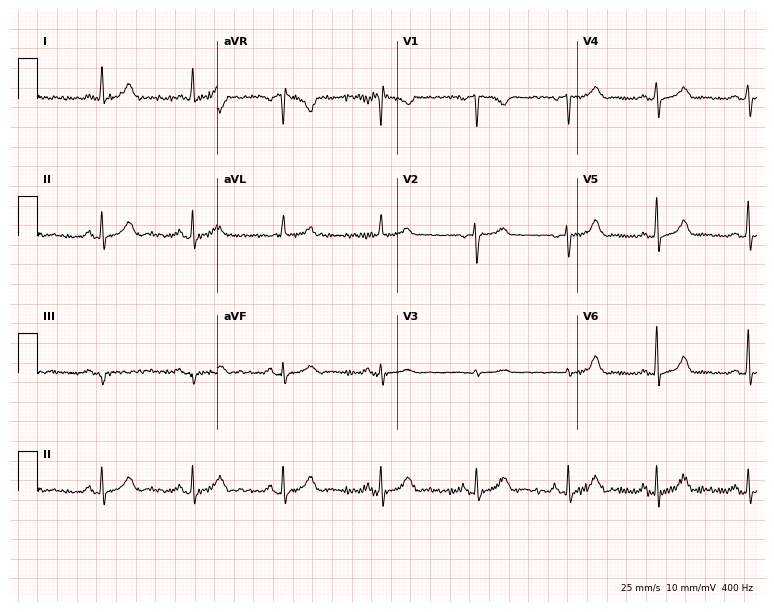
Standard 12-lead ECG recorded from a female patient, 44 years old. Read as a normal ECG.